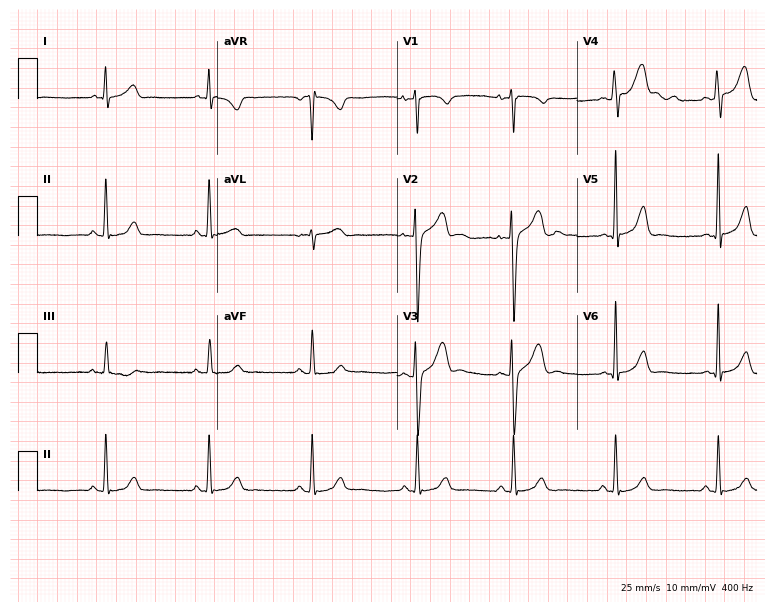
12-lead ECG from a 25-year-old male (7.3-second recording at 400 Hz). No first-degree AV block, right bundle branch block (RBBB), left bundle branch block (LBBB), sinus bradycardia, atrial fibrillation (AF) or sinus tachycardia recorded for this tracing.